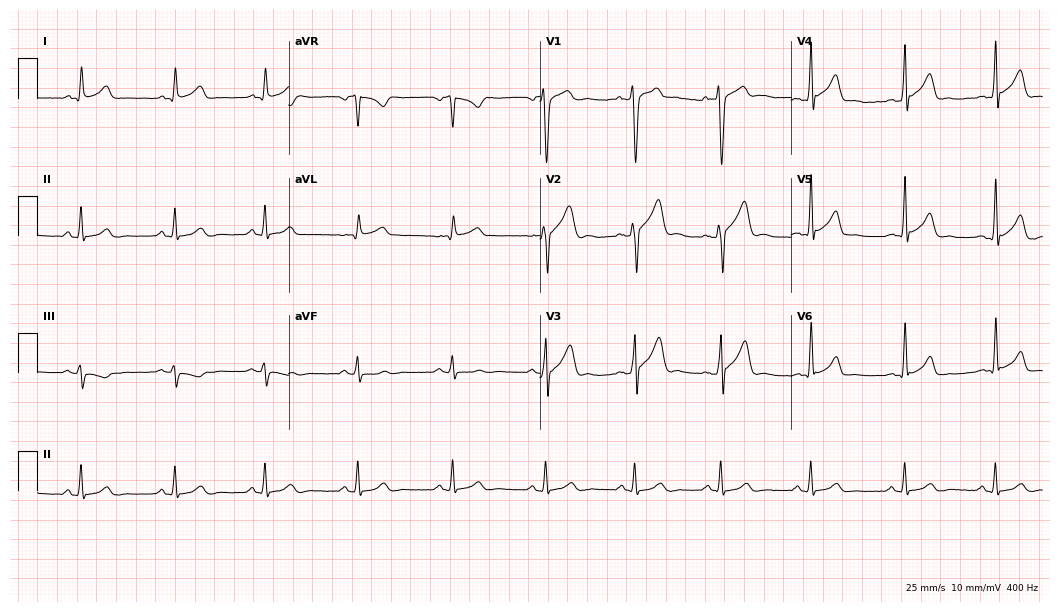
Electrocardiogram (10.2-second recording at 400 Hz), a 22-year-old male. Overall reading on record: normal ECG.